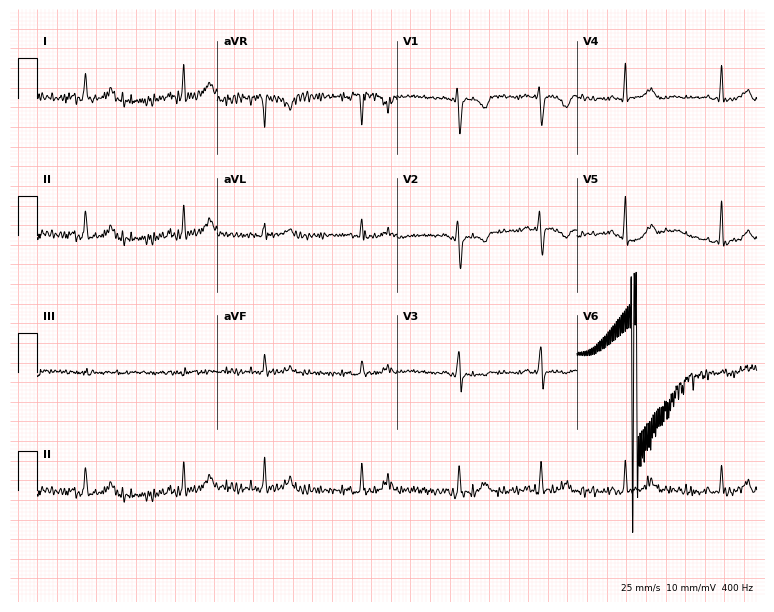
Electrocardiogram, a 37-year-old female. Of the six screened findings (first-degree AV block, right bundle branch block (RBBB), left bundle branch block (LBBB), sinus bradycardia, atrial fibrillation (AF), sinus tachycardia), none is recorded. Findings outside these six are not listed.